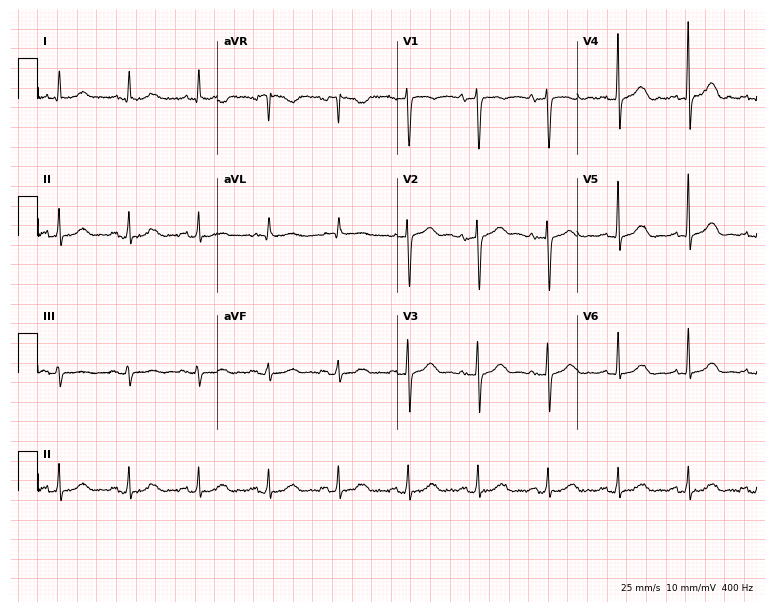
ECG — a 77-year-old female patient. Screened for six findings — first-degree AV block, right bundle branch block, left bundle branch block, sinus bradycardia, atrial fibrillation, sinus tachycardia — none is recorded. Other findings, if any, are not listed.